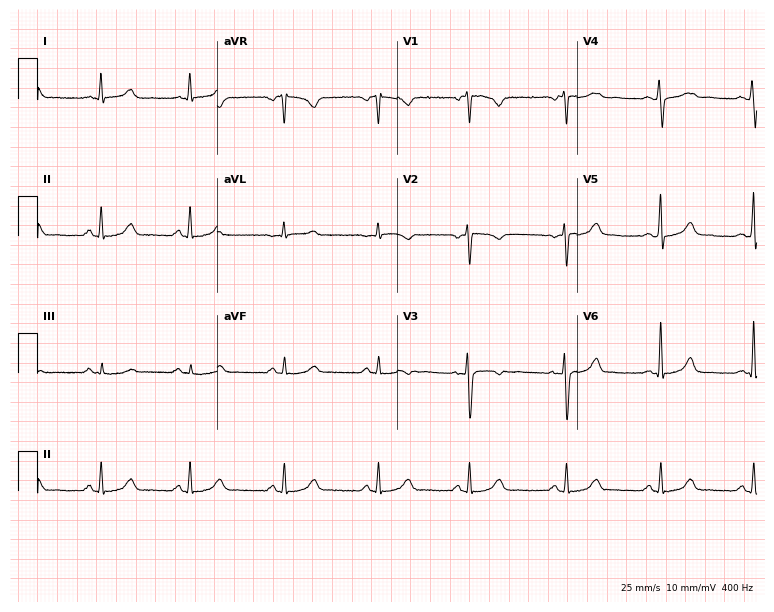
ECG (7.3-second recording at 400 Hz) — a 41-year-old woman. Labelled as a normal ECG.